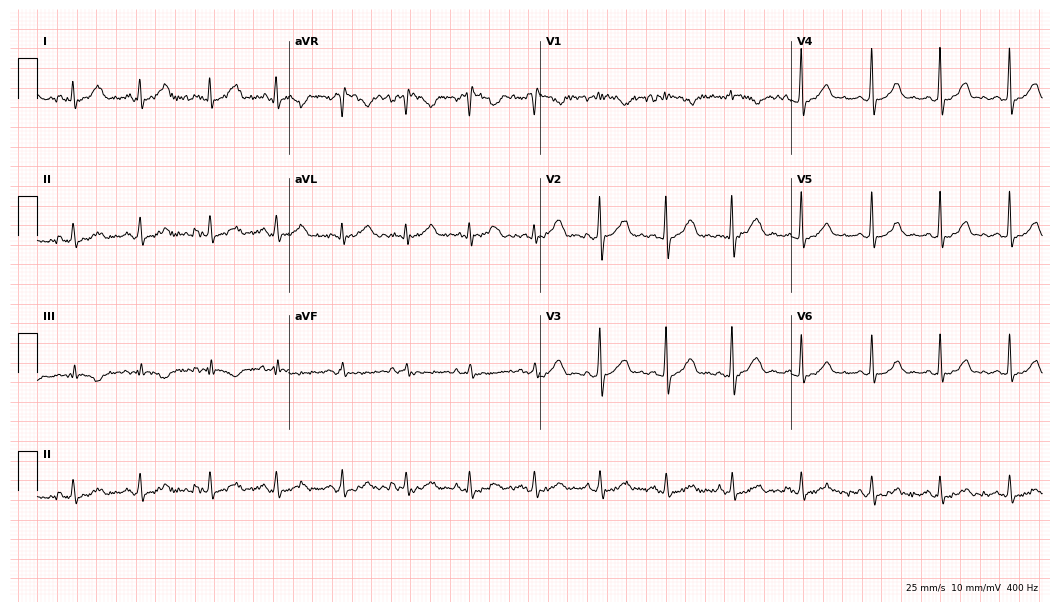
Standard 12-lead ECG recorded from a 36-year-old female. None of these six findings is recorded: first-degree AV block, right bundle branch block, left bundle branch block, sinus bradycardia, atrial fibrillation, sinus tachycardia. Only these six findings were labelled.